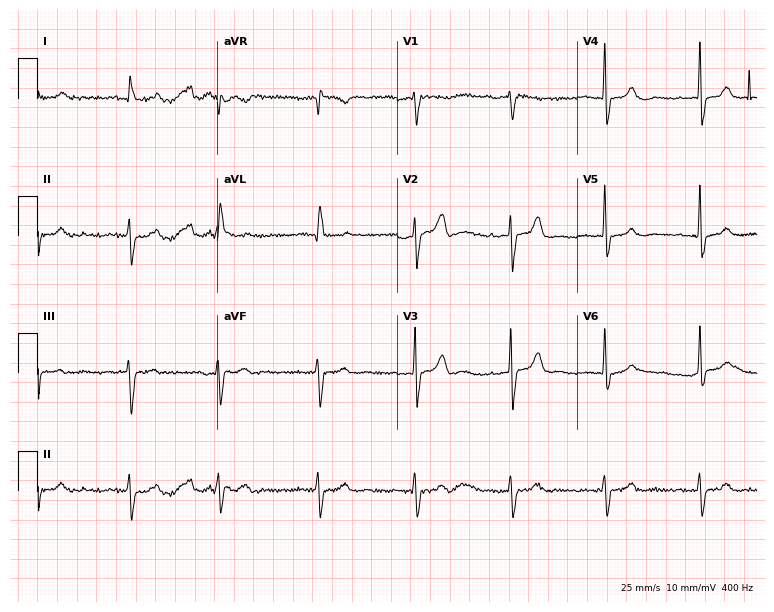
12-lead ECG from a male, 81 years old. No first-degree AV block, right bundle branch block, left bundle branch block, sinus bradycardia, atrial fibrillation or sinus tachycardia recorded for this tracing. Other findings, if any, are not listed.